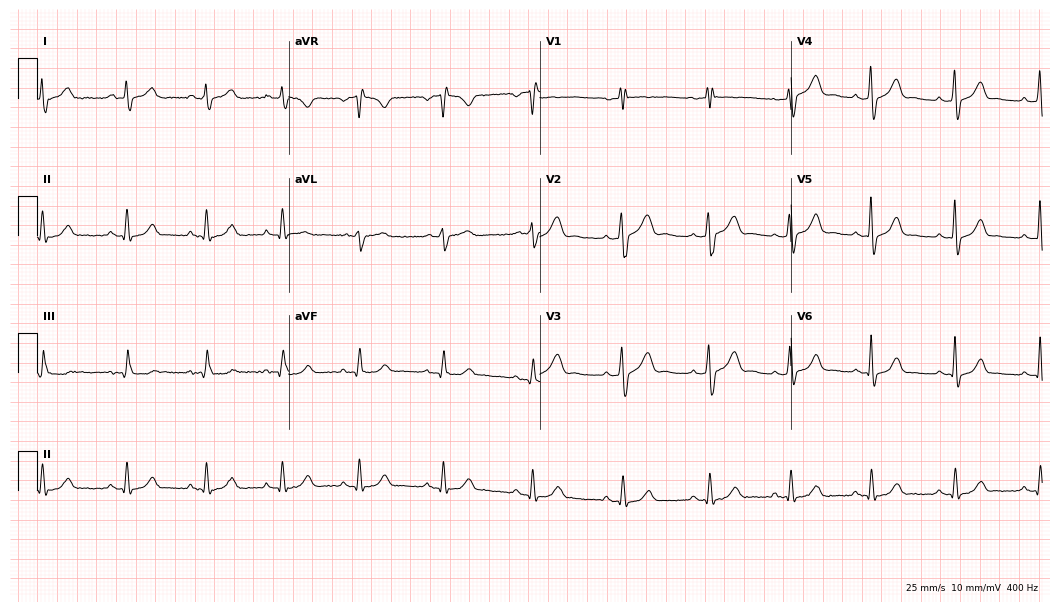
ECG (10.2-second recording at 400 Hz) — a 39-year-old male patient. Screened for six findings — first-degree AV block, right bundle branch block, left bundle branch block, sinus bradycardia, atrial fibrillation, sinus tachycardia — none is recorded.